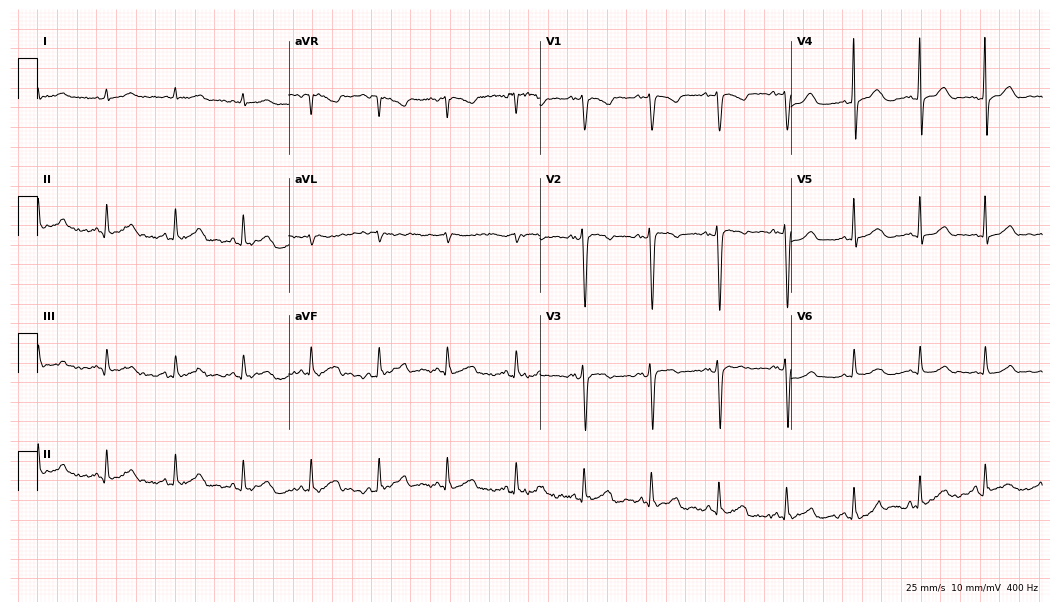
ECG — an 80-year-old female patient. Screened for six findings — first-degree AV block, right bundle branch block, left bundle branch block, sinus bradycardia, atrial fibrillation, sinus tachycardia — none is recorded.